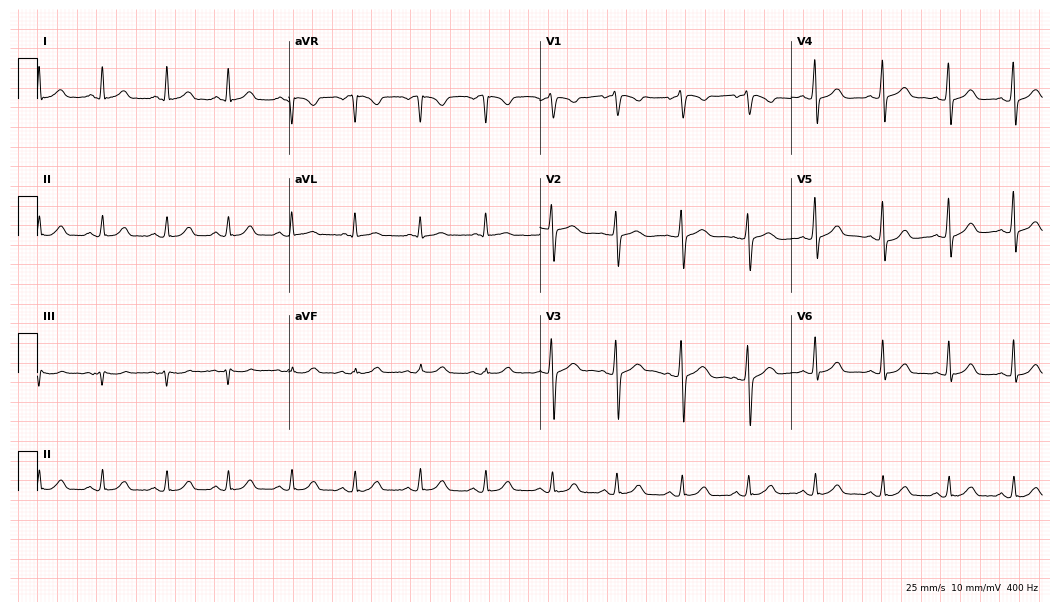
12-lead ECG from a female, 58 years old. Screened for six findings — first-degree AV block, right bundle branch block (RBBB), left bundle branch block (LBBB), sinus bradycardia, atrial fibrillation (AF), sinus tachycardia — none is recorded. Only these six findings were labelled.